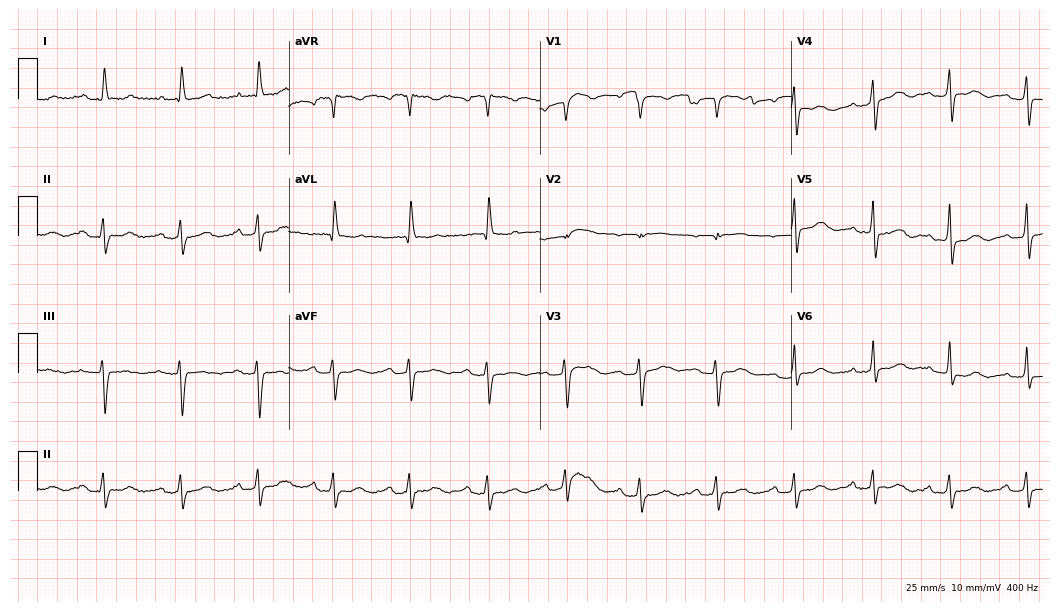
12-lead ECG from a female patient, 69 years old. Shows first-degree AV block.